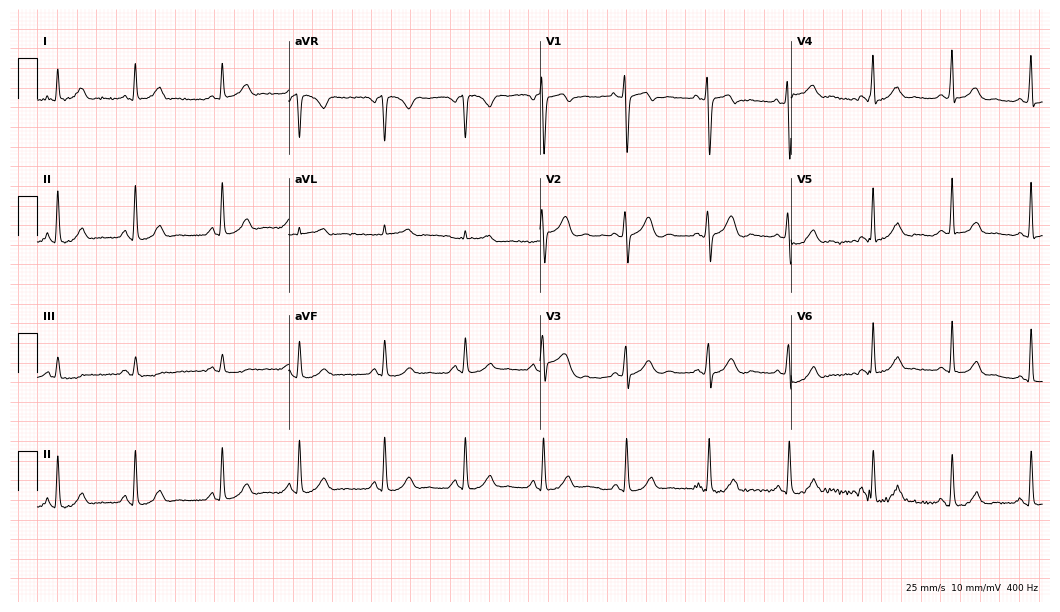
12-lead ECG from a woman, 37 years old. Screened for six findings — first-degree AV block, right bundle branch block (RBBB), left bundle branch block (LBBB), sinus bradycardia, atrial fibrillation (AF), sinus tachycardia — none is recorded.